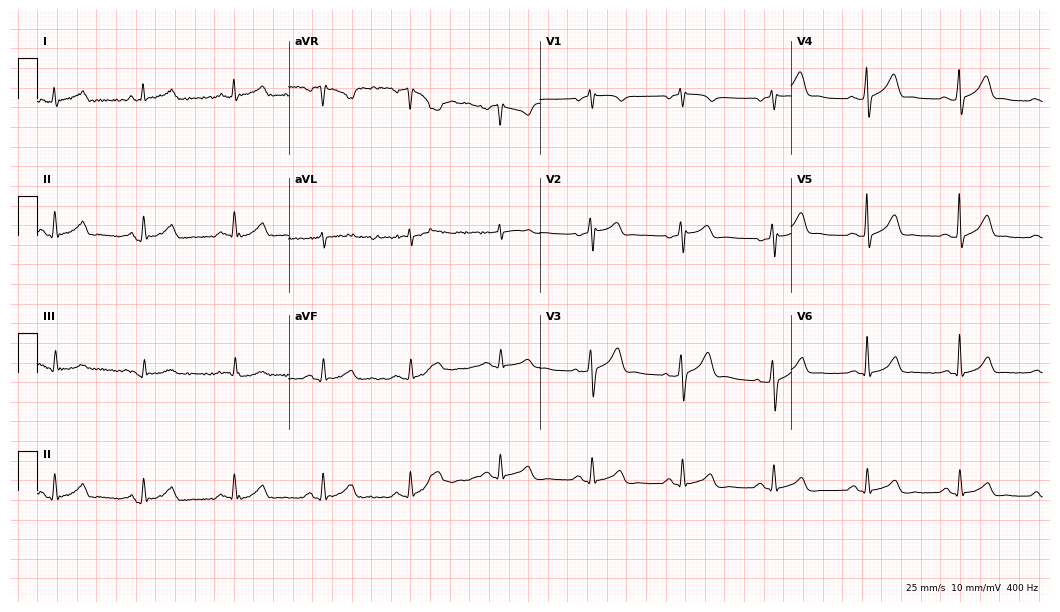
Resting 12-lead electrocardiogram. Patient: a 57-year-old male. Read as a normal ECG.